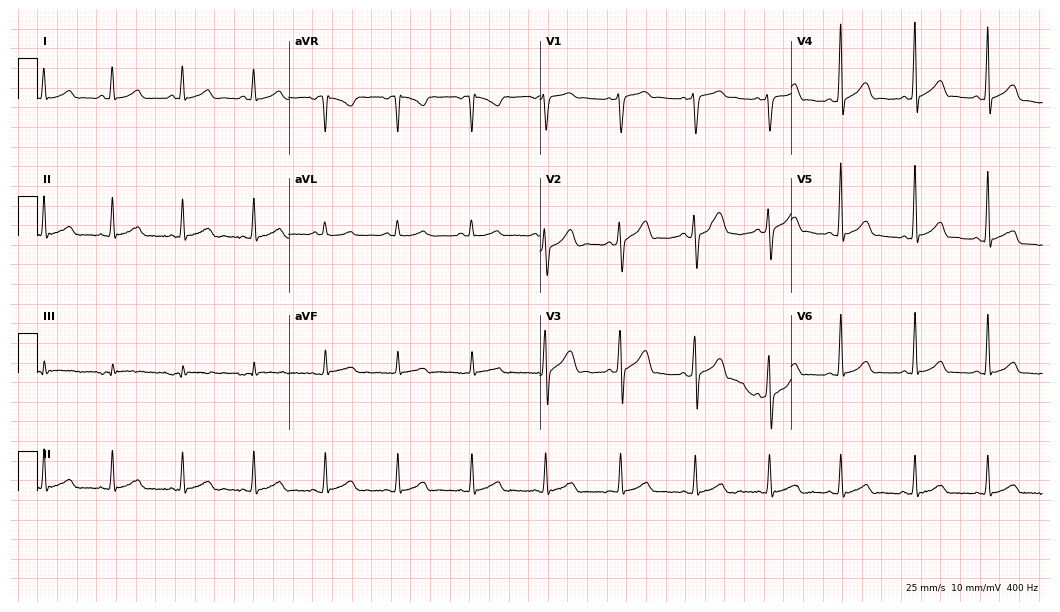
Resting 12-lead electrocardiogram (10.2-second recording at 400 Hz). Patient: a 42-year-old male. Read as a normal ECG.